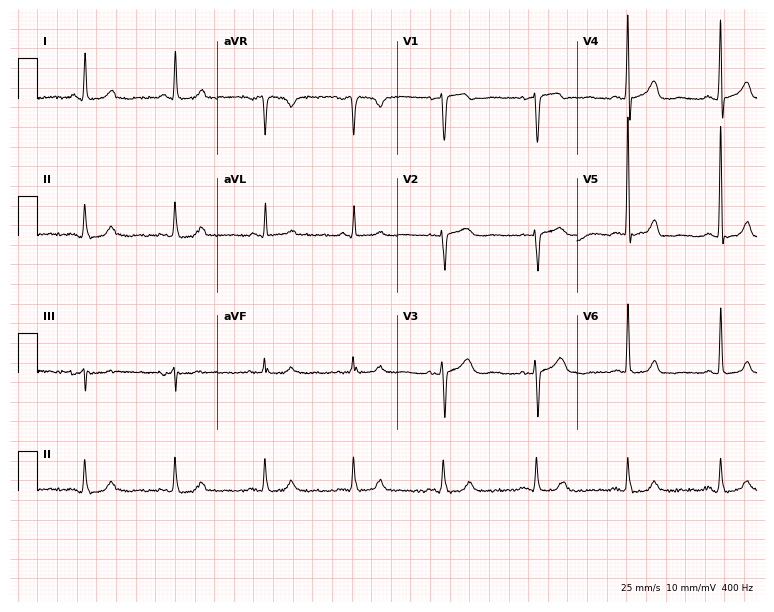
ECG — a woman, 74 years old. Screened for six findings — first-degree AV block, right bundle branch block (RBBB), left bundle branch block (LBBB), sinus bradycardia, atrial fibrillation (AF), sinus tachycardia — none is recorded.